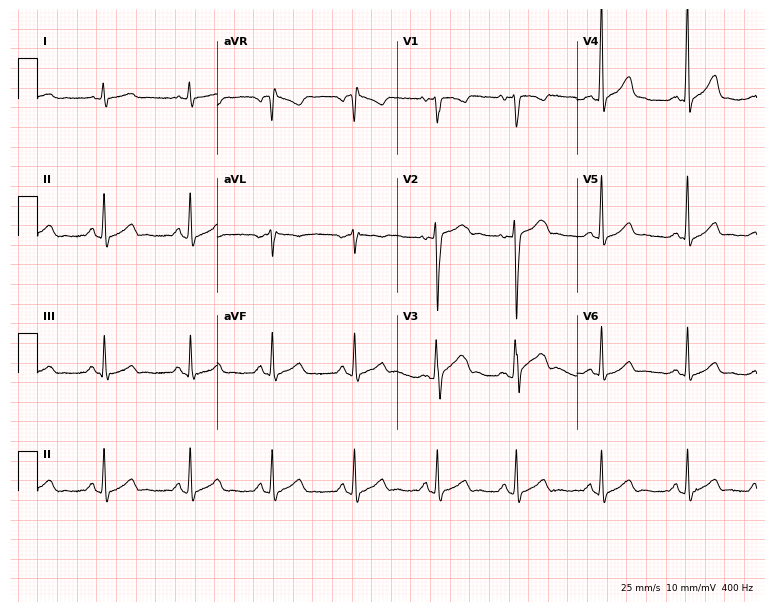
12-lead ECG (7.3-second recording at 400 Hz) from a 26-year-old man. Screened for six findings — first-degree AV block, right bundle branch block (RBBB), left bundle branch block (LBBB), sinus bradycardia, atrial fibrillation (AF), sinus tachycardia — none is recorded. Findings outside these six are not listed.